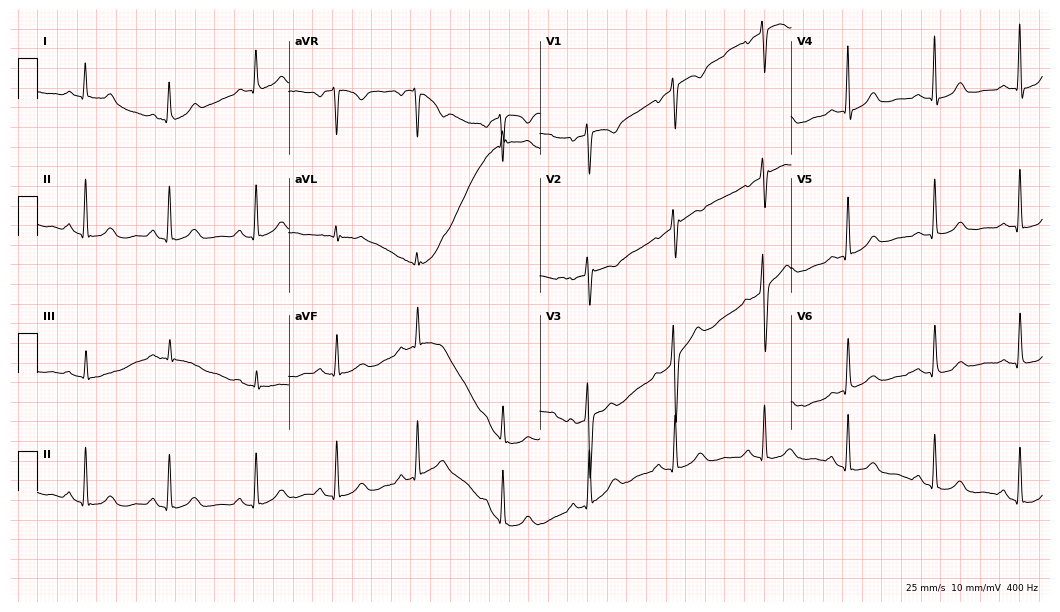
12-lead ECG from a 50-year-old female patient (10.2-second recording at 400 Hz). Recorded interpretation: within normal limits.